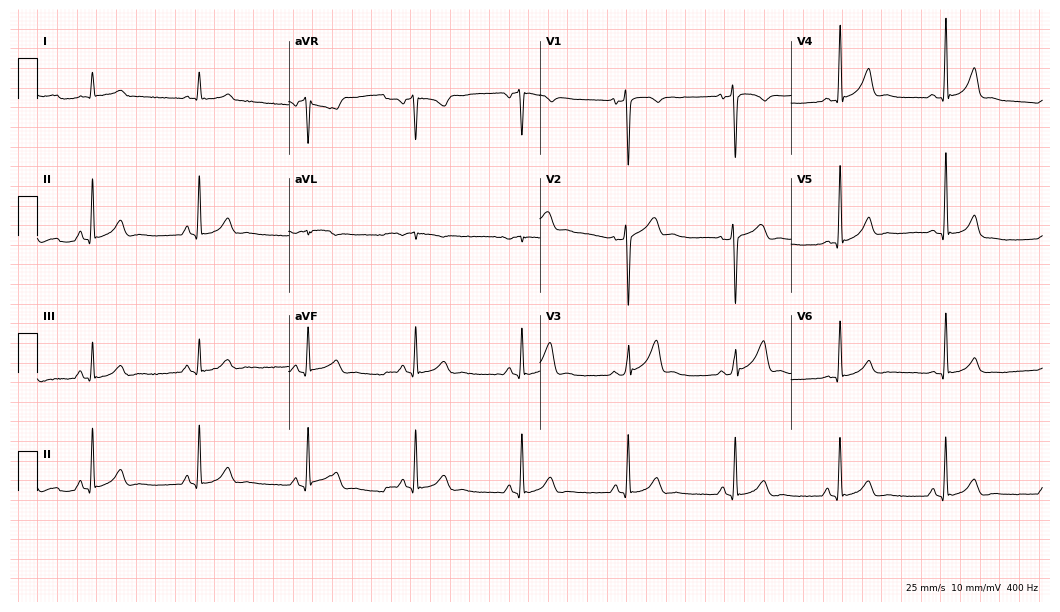
ECG (10.2-second recording at 400 Hz) — a 29-year-old man. Screened for six findings — first-degree AV block, right bundle branch block, left bundle branch block, sinus bradycardia, atrial fibrillation, sinus tachycardia — none is recorded. Other findings, if any, are not listed.